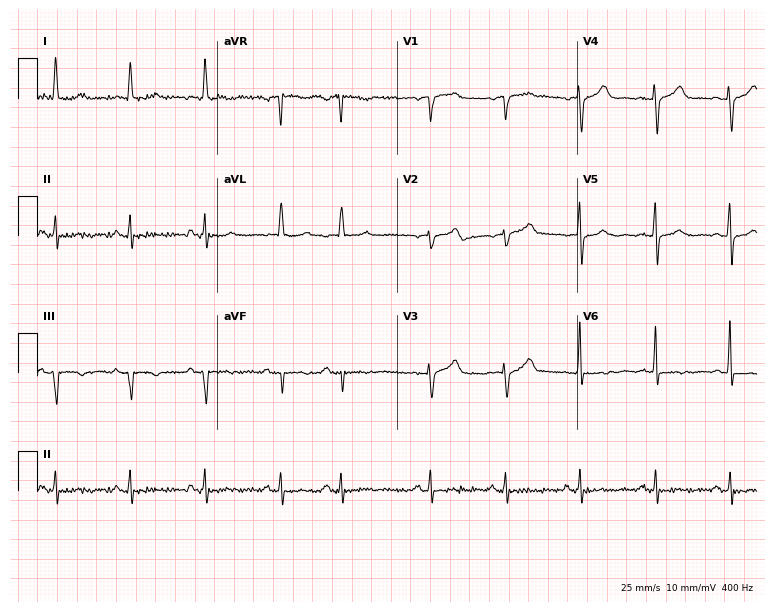
12-lead ECG (7.3-second recording at 400 Hz) from a woman, 73 years old. Screened for six findings — first-degree AV block, right bundle branch block, left bundle branch block, sinus bradycardia, atrial fibrillation, sinus tachycardia — none is recorded. Only these six findings were labelled.